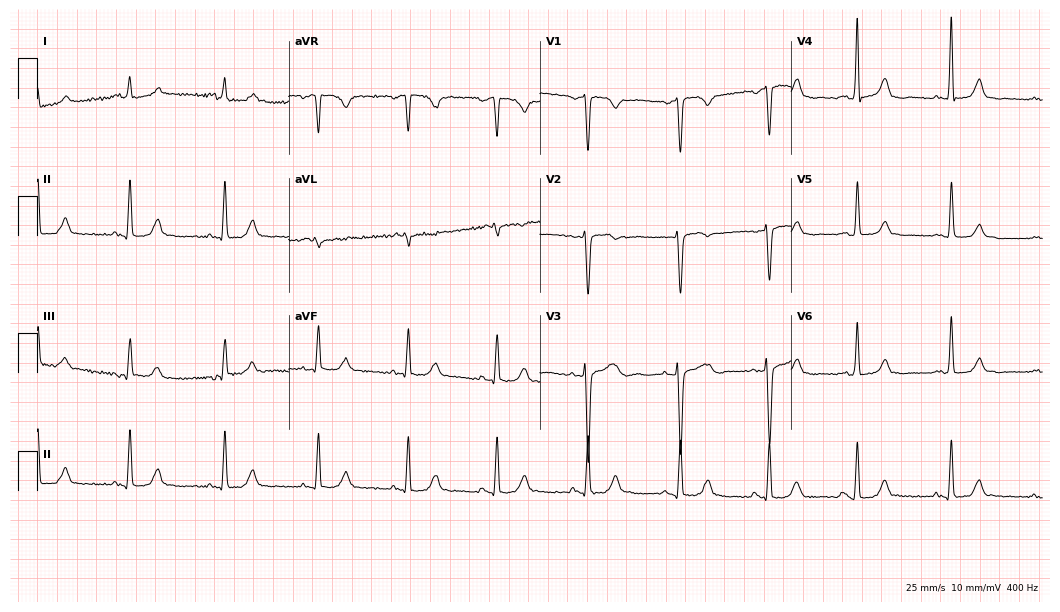
Resting 12-lead electrocardiogram. Patient: a woman, 54 years old. Read as a normal ECG.